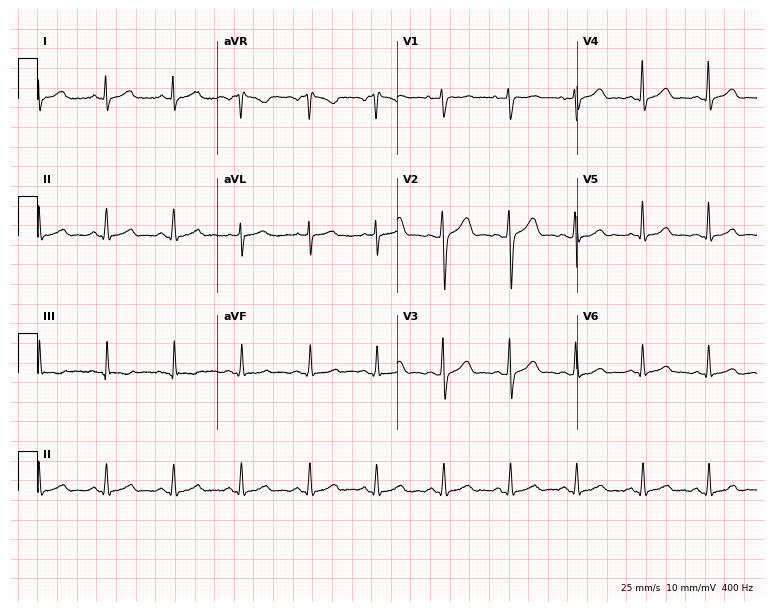
12-lead ECG from a male patient, 29 years old. Labelled as a normal ECG.